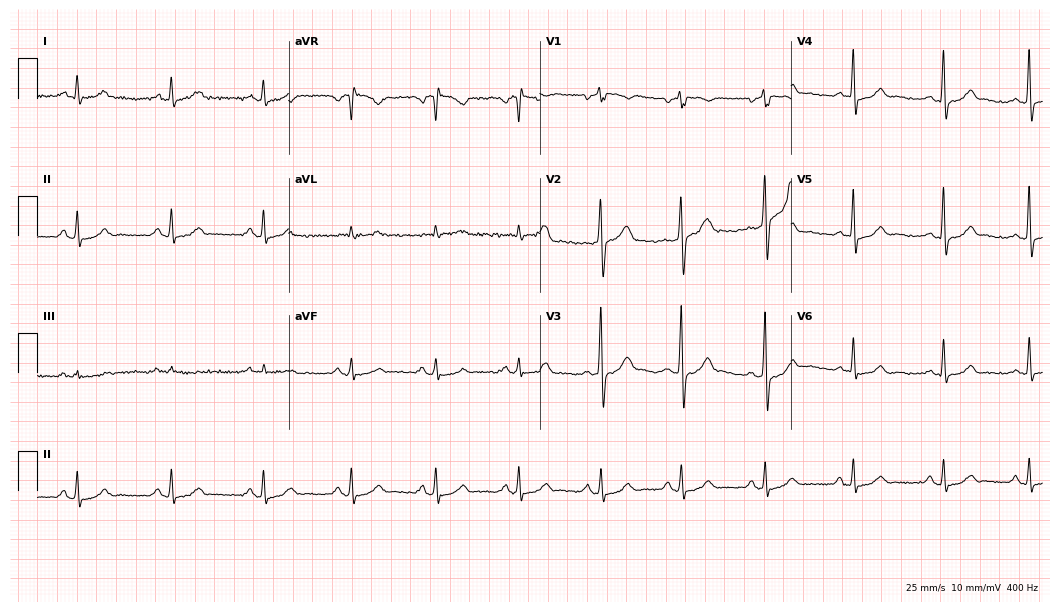
ECG — a male, 49 years old. Screened for six findings — first-degree AV block, right bundle branch block (RBBB), left bundle branch block (LBBB), sinus bradycardia, atrial fibrillation (AF), sinus tachycardia — none is recorded.